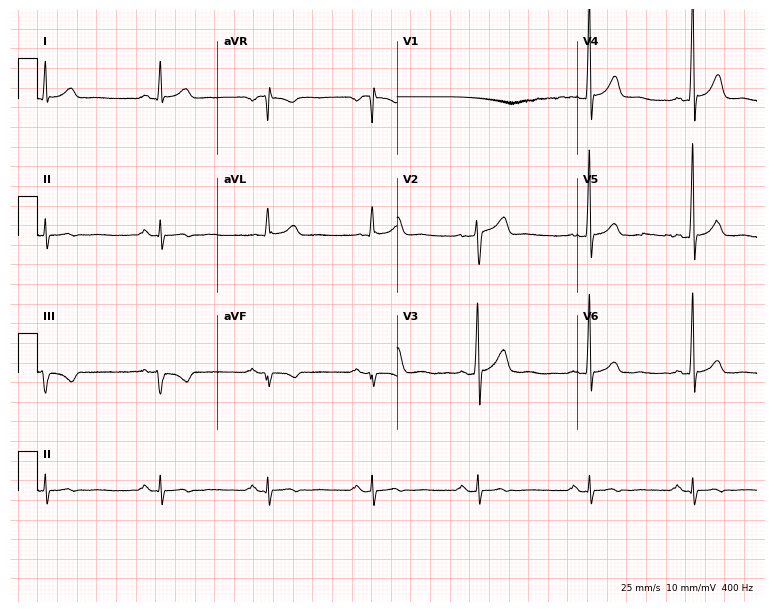
12-lead ECG (7.3-second recording at 400 Hz) from a man, 48 years old. Screened for six findings — first-degree AV block, right bundle branch block, left bundle branch block, sinus bradycardia, atrial fibrillation, sinus tachycardia — none is recorded.